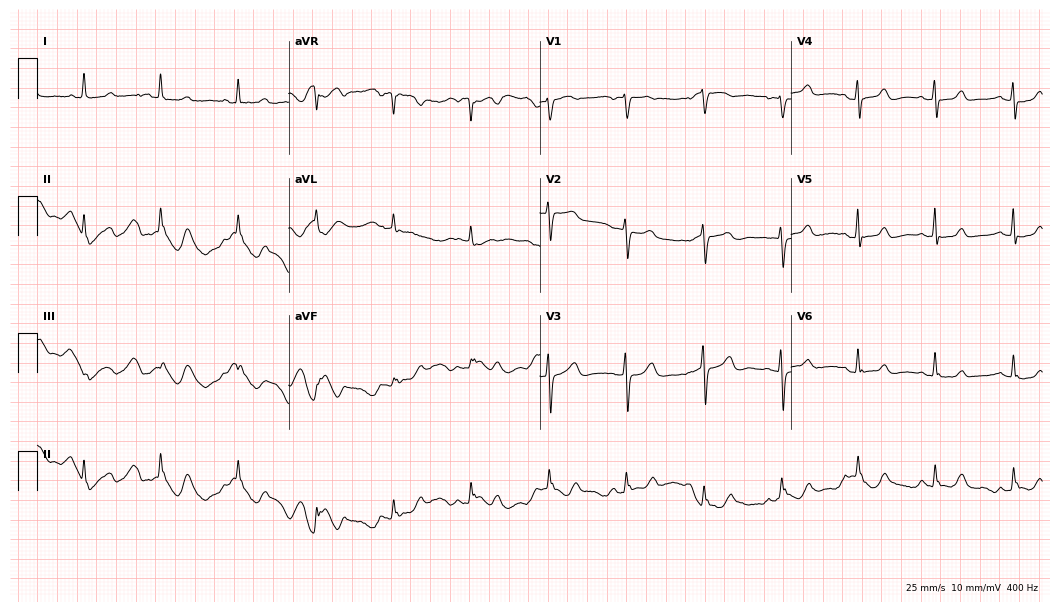
12-lead ECG from a woman, 82 years old (10.2-second recording at 400 Hz). No first-degree AV block, right bundle branch block, left bundle branch block, sinus bradycardia, atrial fibrillation or sinus tachycardia recorded for this tracing.